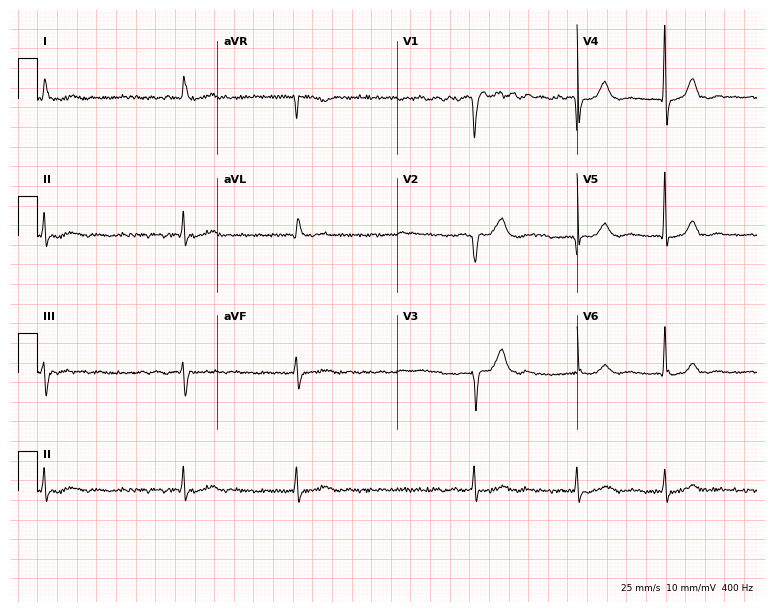
ECG — a male, 80 years old. Findings include atrial fibrillation.